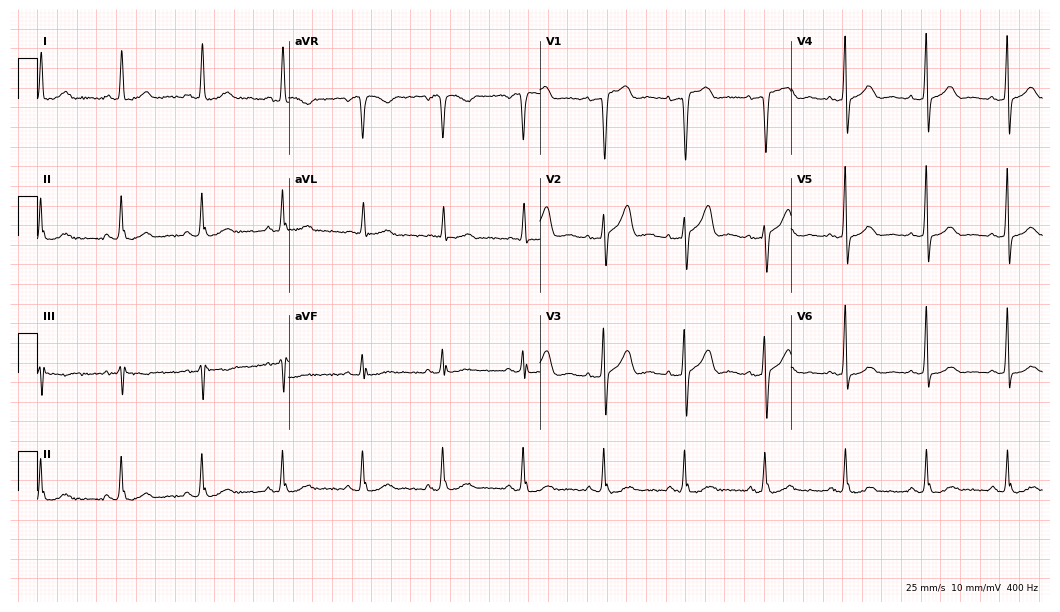
Electrocardiogram (10.2-second recording at 400 Hz), a 63-year-old female patient. Overall reading on record: normal ECG.